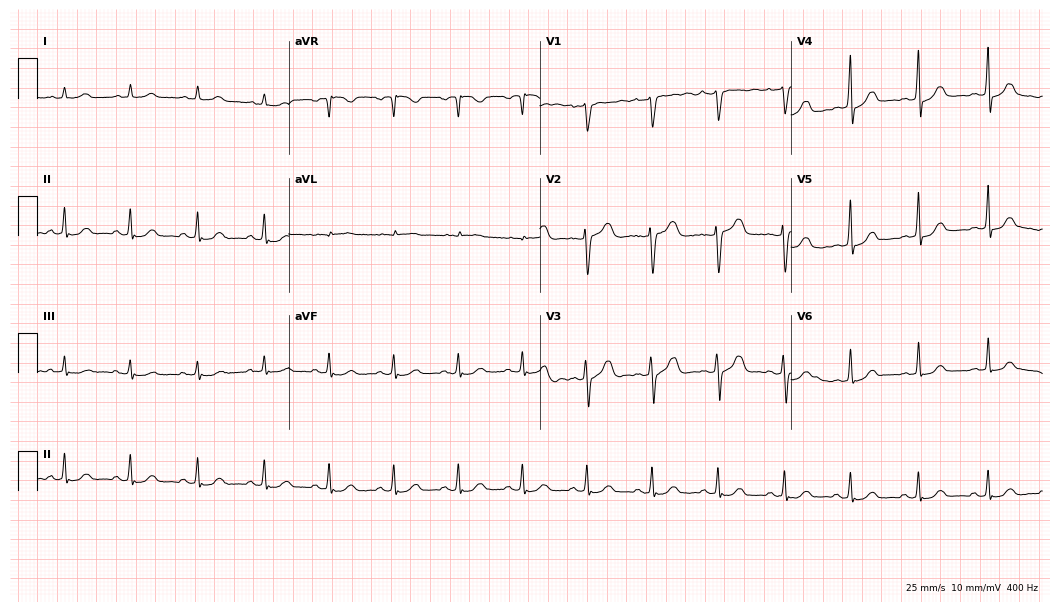
Standard 12-lead ECG recorded from a 20-year-old female (10.2-second recording at 400 Hz). Read as a normal ECG.